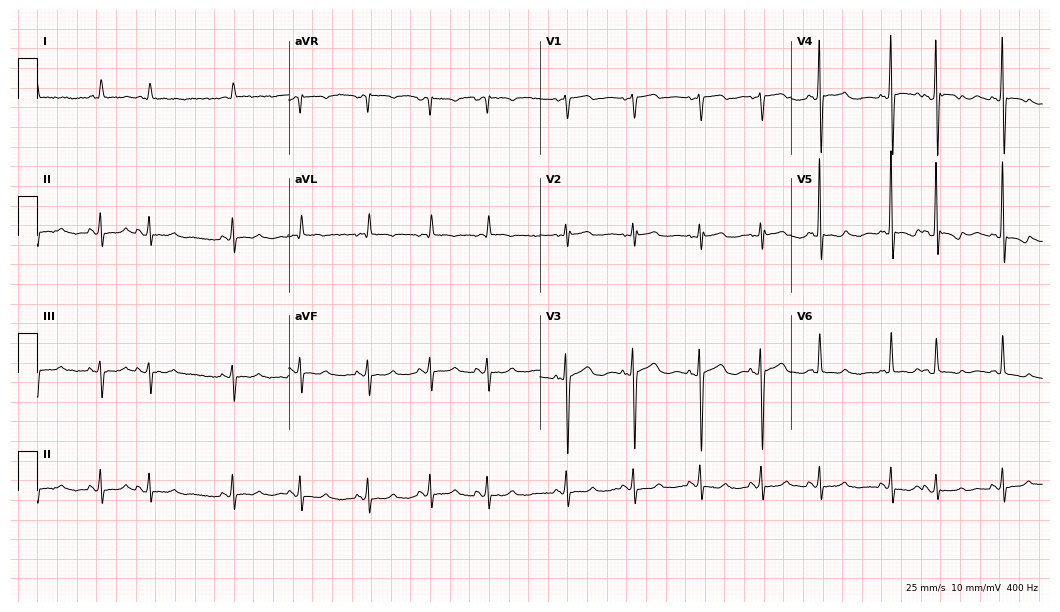
ECG (10.2-second recording at 400 Hz) — a female, 77 years old. Screened for six findings — first-degree AV block, right bundle branch block, left bundle branch block, sinus bradycardia, atrial fibrillation, sinus tachycardia — none is recorded. Findings outside these six are not listed.